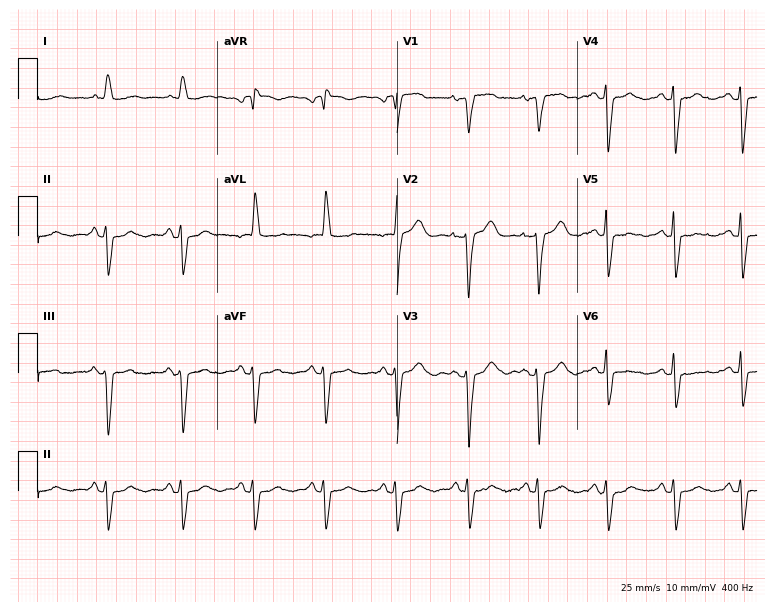
Resting 12-lead electrocardiogram. Patient: a female, 79 years old. None of these six findings is recorded: first-degree AV block, right bundle branch block (RBBB), left bundle branch block (LBBB), sinus bradycardia, atrial fibrillation (AF), sinus tachycardia. Findings outside these six are not listed.